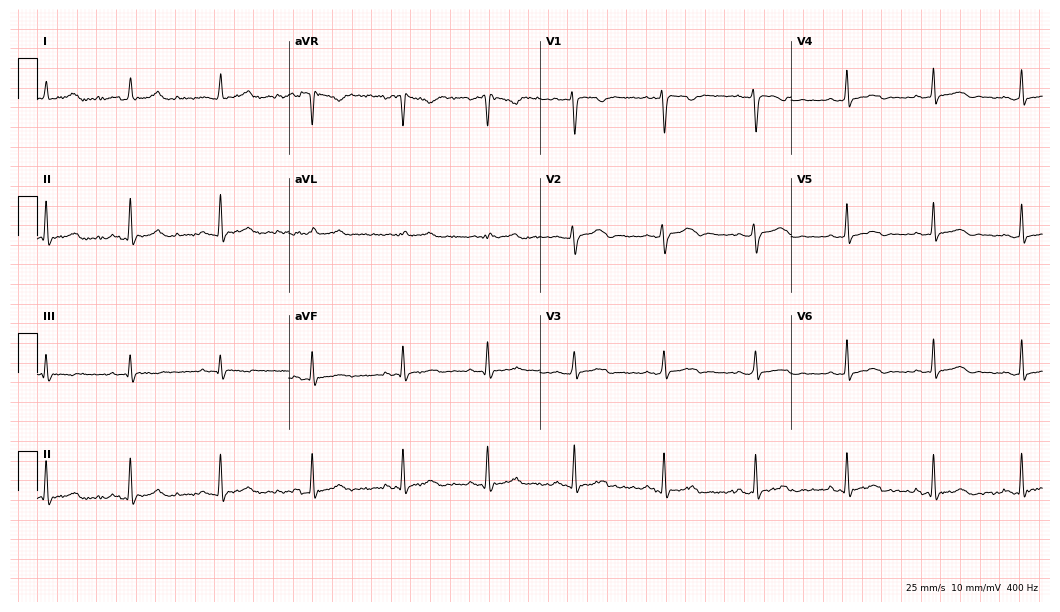
12-lead ECG from a female, 37 years old (10.2-second recording at 400 Hz). Recorded interpretation: within normal limits.